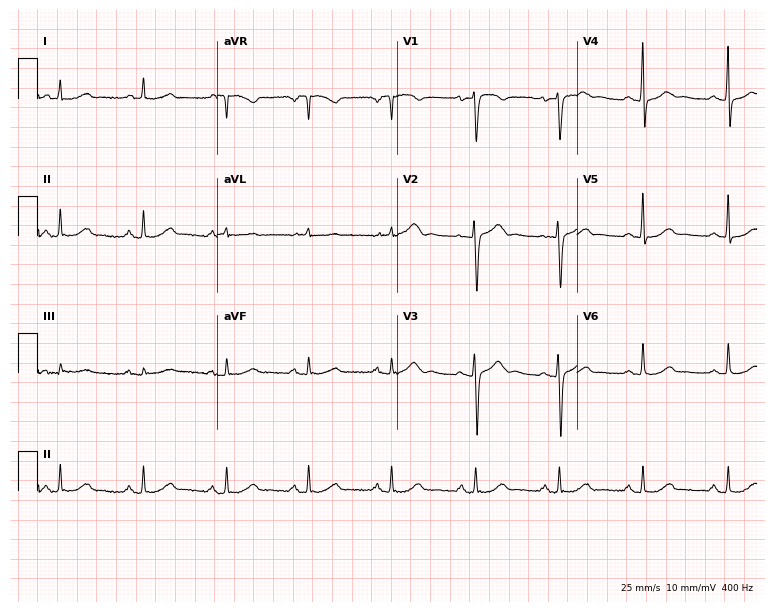
Electrocardiogram (7.3-second recording at 400 Hz), a 60-year-old woman. Overall reading on record: normal ECG.